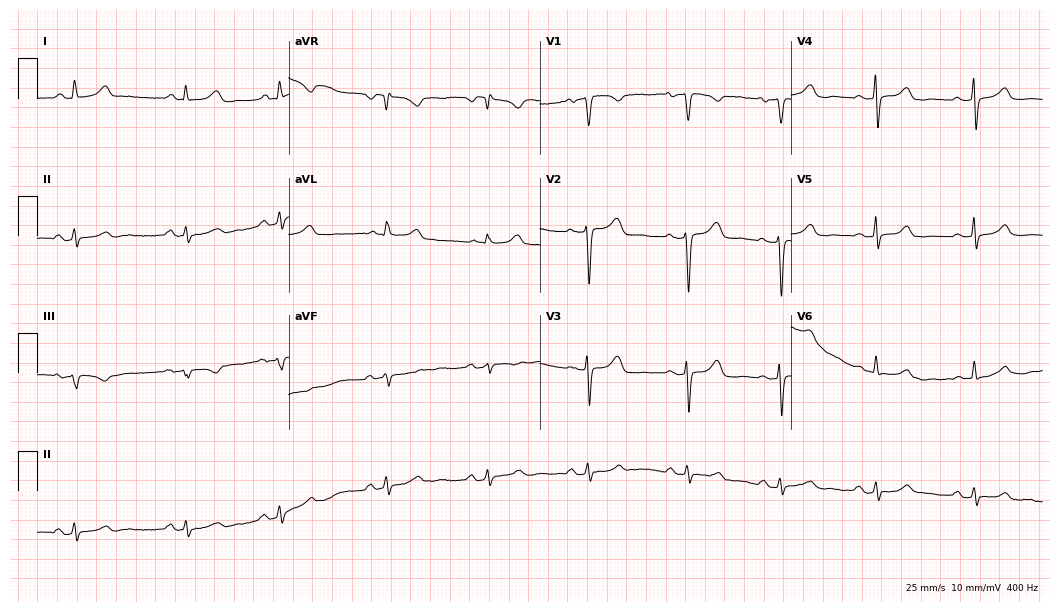
12-lead ECG from a 46-year-old woman. Recorded interpretation: within normal limits.